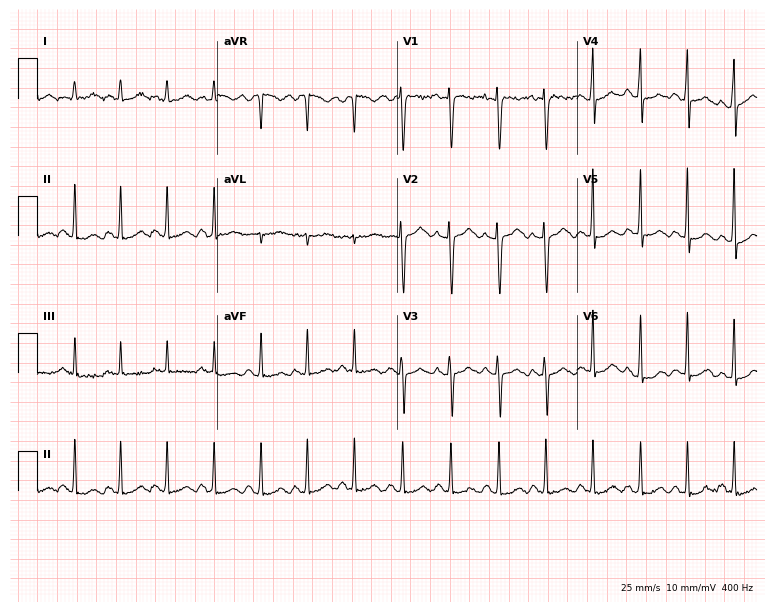
ECG (7.3-second recording at 400 Hz) — a female, 29 years old. Findings include sinus tachycardia (a sinus rate of 100 beats per minute or more).